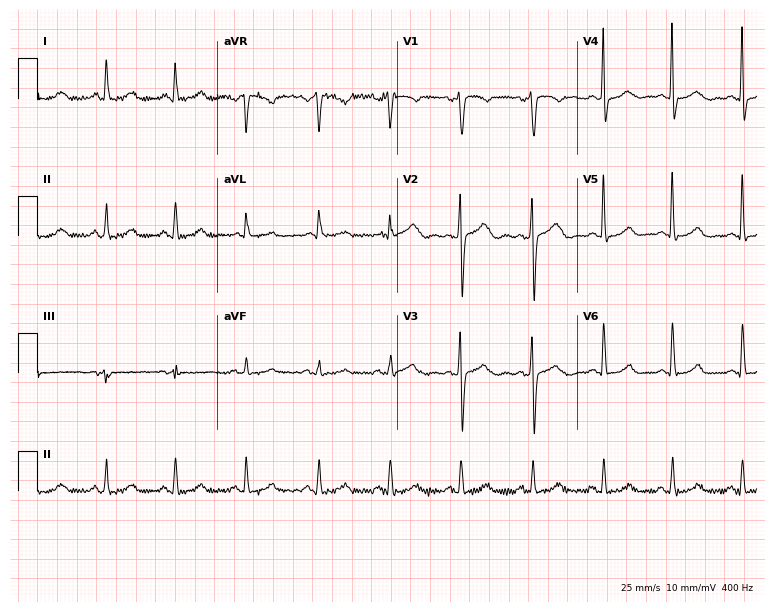
Electrocardiogram, a 35-year-old woman. Of the six screened findings (first-degree AV block, right bundle branch block, left bundle branch block, sinus bradycardia, atrial fibrillation, sinus tachycardia), none is recorded.